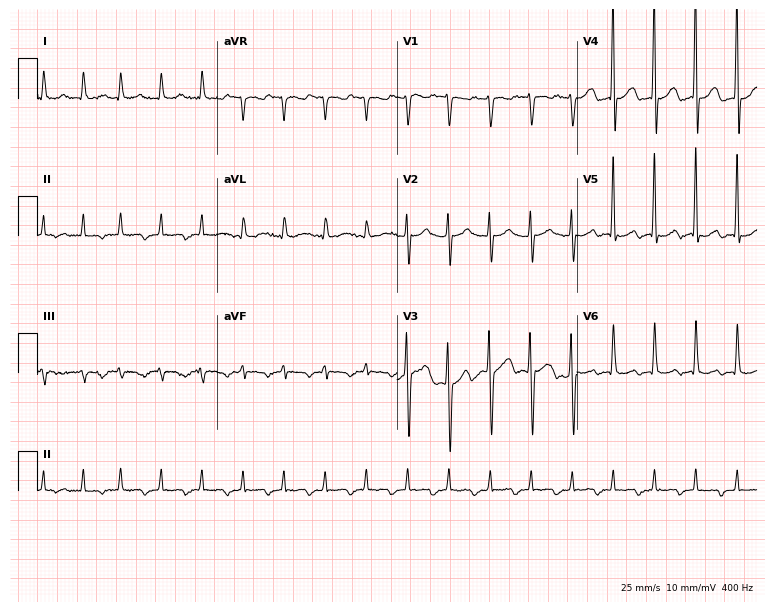
Standard 12-lead ECG recorded from a male, 86 years old. None of these six findings is recorded: first-degree AV block, right bundle branch block, left bundle branch block, sinus bradycardia, atrial fibrillation, sinus tachycardia.